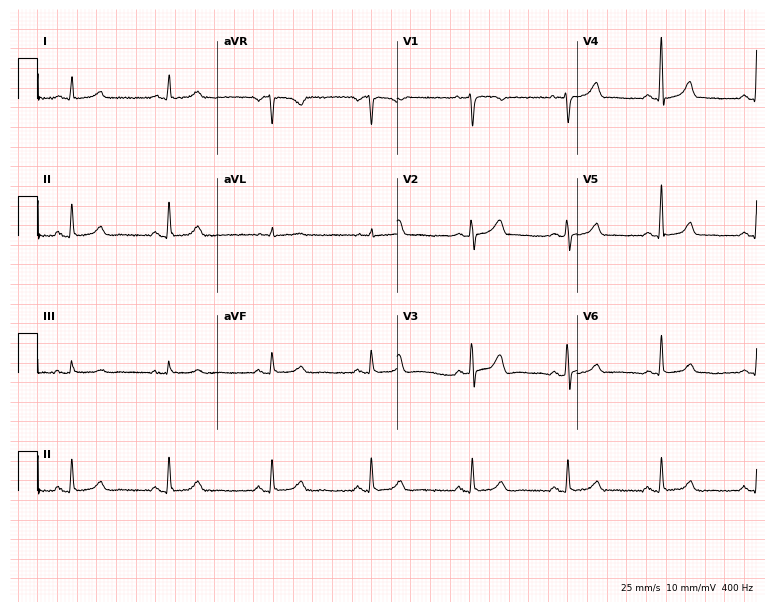
Resting 12-lead electrocardiogram (7.3-second recording at 400 Hz). Patient: a 48-year-old female. Read as a normal ECG.